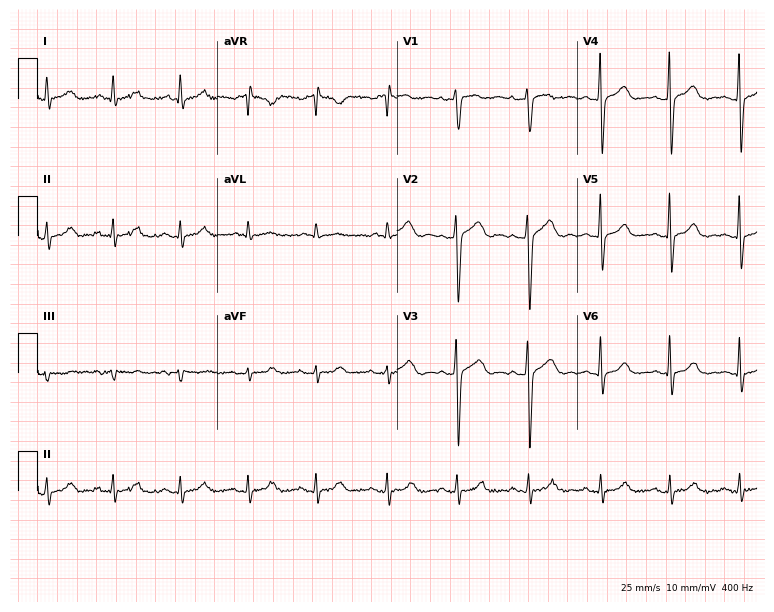
12-lead ECG (7.3-second recording at 400 Hz) from a female patient, 43 years old. Labelled as a normal ECG.